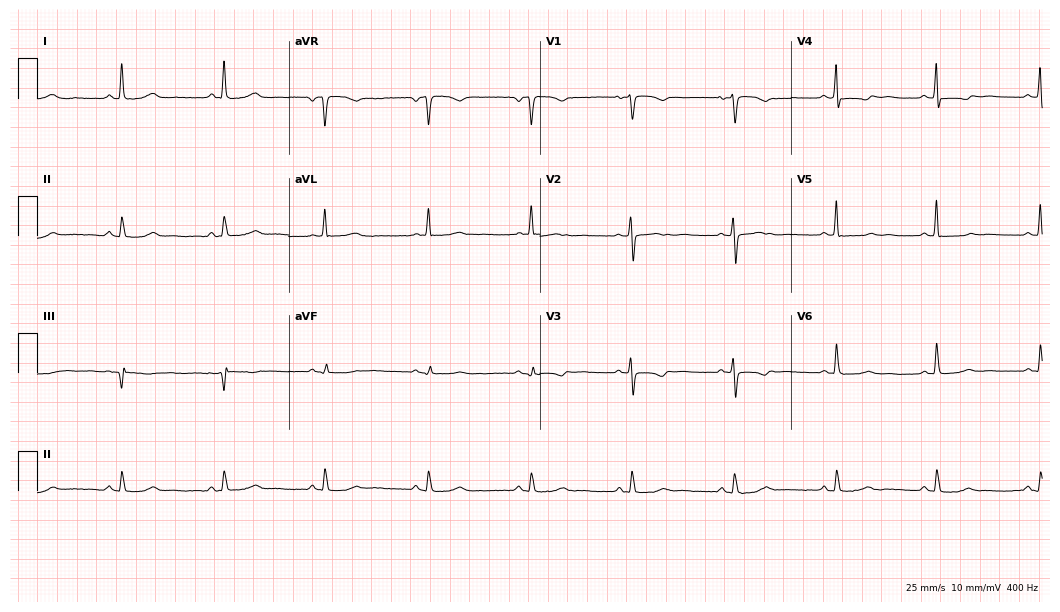
Standard 12-lead ECG recorded from a female patient, 53 years old (10.2-second recording at 400 Hz). None of these six findings is recorded: first-degree AV block, right bundle branch block, left bundle branch block, sinus bradycardia, atrial fibrillation, sinus tachycardia.